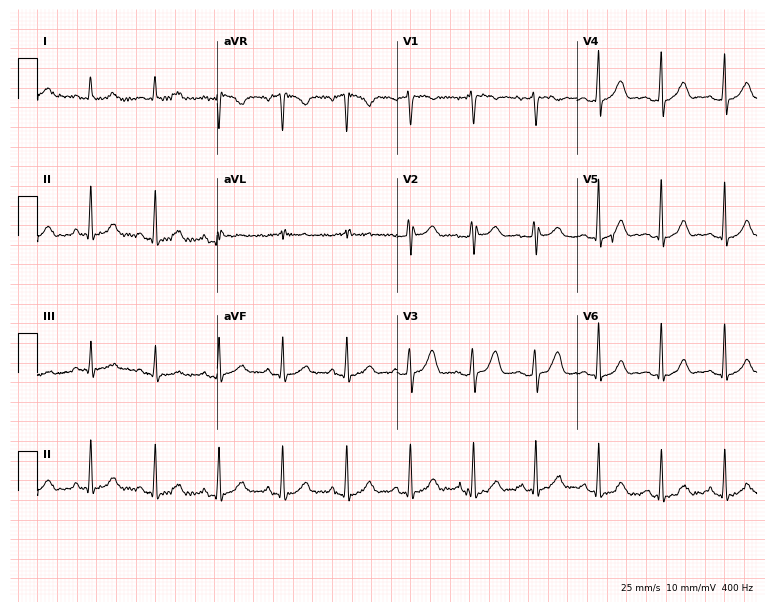
12-lead ECG from a woman, 49 years old. Labelled as a normal ECG.